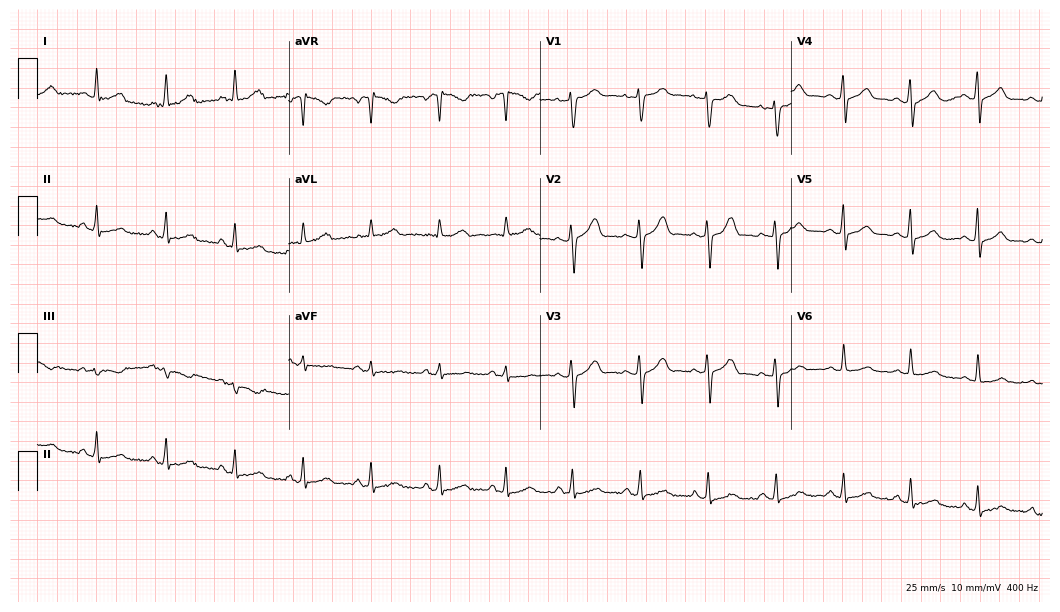
Electrocardiogram, a 46-year-old female. Overall reading on record: normal ECG.